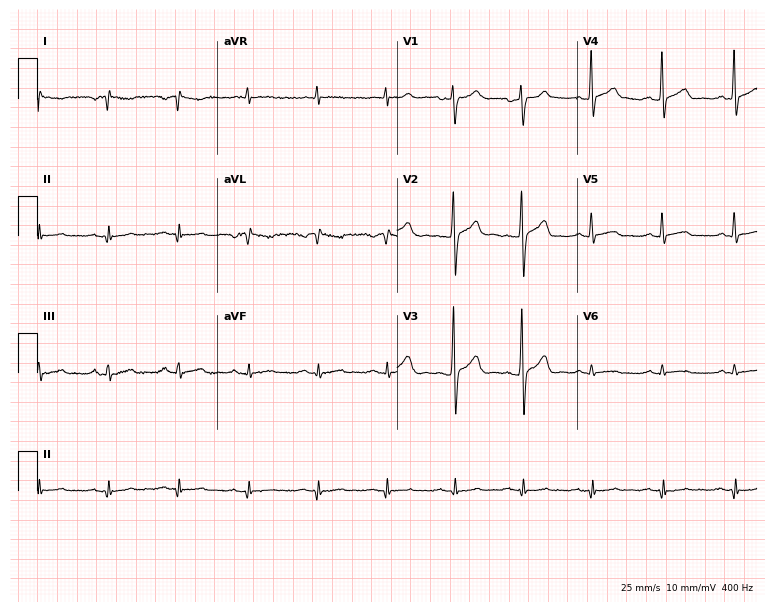
Electrocardiogram (7.3-second recording at 400 Hz), a man, 26 years old. Of the six screened findings (first-degree AV block, right bundle branch block, left bundle branch block, sinus bradycardia, atrial fibrillation, sinus tachycardia), none is recorded. Other findings, if any, are not listed.